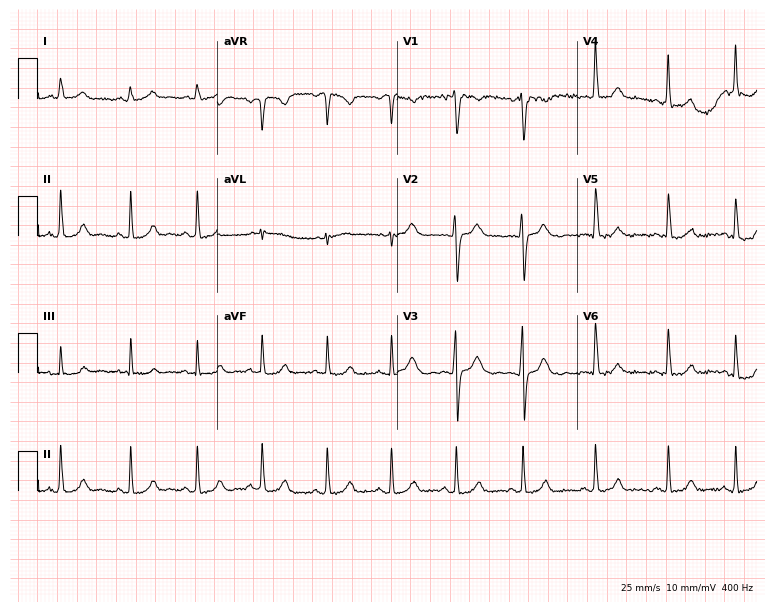
Standard 12-lead ECG recorded from a woman, 32 years old (7.3-second recording at 400 Hz). None of these six findings is recorded: first-degree AV block, right bundle branch block, left bundle branch block, sinus bradycardia, atrial fibrillation, sinus tachycardia.